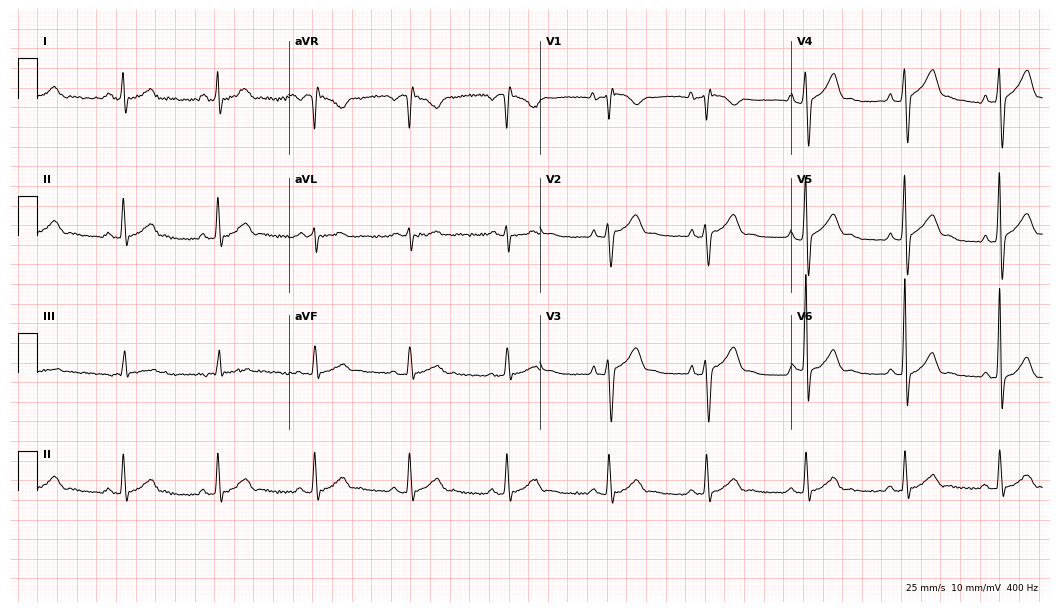
Standard 12-lead ECG recorded from a male patient, 41 years old (10.2-second recording at 400 Hz). None of these six findings is recorded: first-degree AV block, right bundle branch block, left bundle branch block, sinus bradycardia, atrial fibrillation, sinus tachycardia.